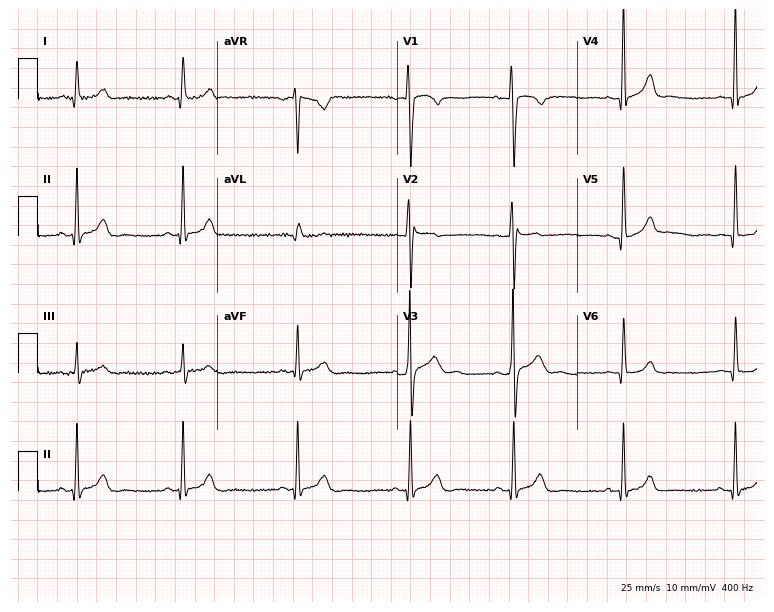
12-lead ECG from a male, 31 years old (7.3-second recording at 400 Hz). Recorded interpretation: within normal limits.